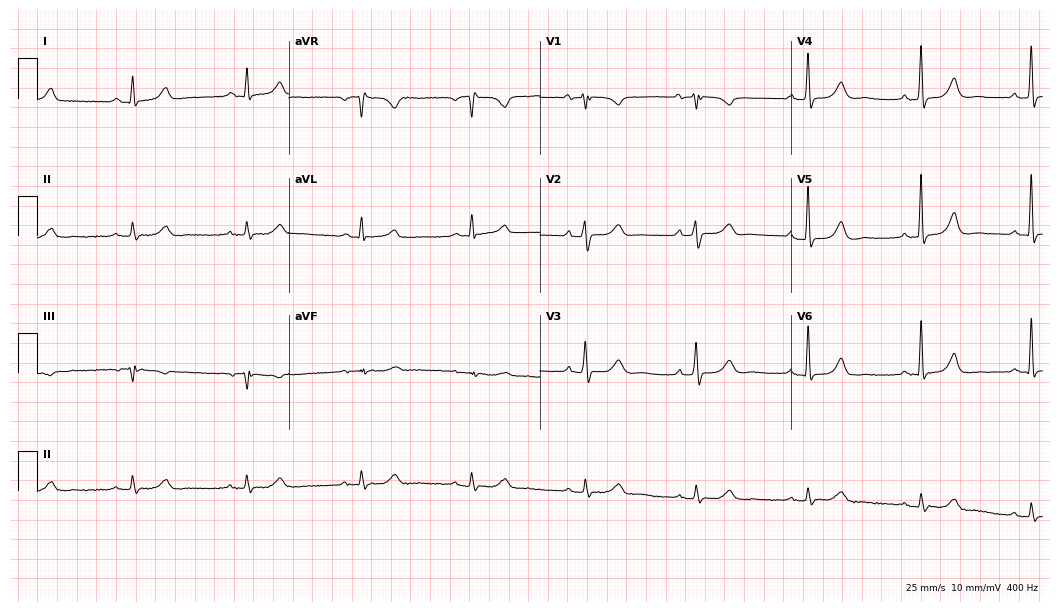
12-lead ECG from a female patient, 74 years old (10.2-second recording at 400 Hz). No first-degree AV block, right bundle branch block (RBBB), left bundle branch block (LBBB), sinus bradycardia, atrial fibrillation (AF) or sinus tachycardia recorded for this tracing. Other findings, if any, are not listed.